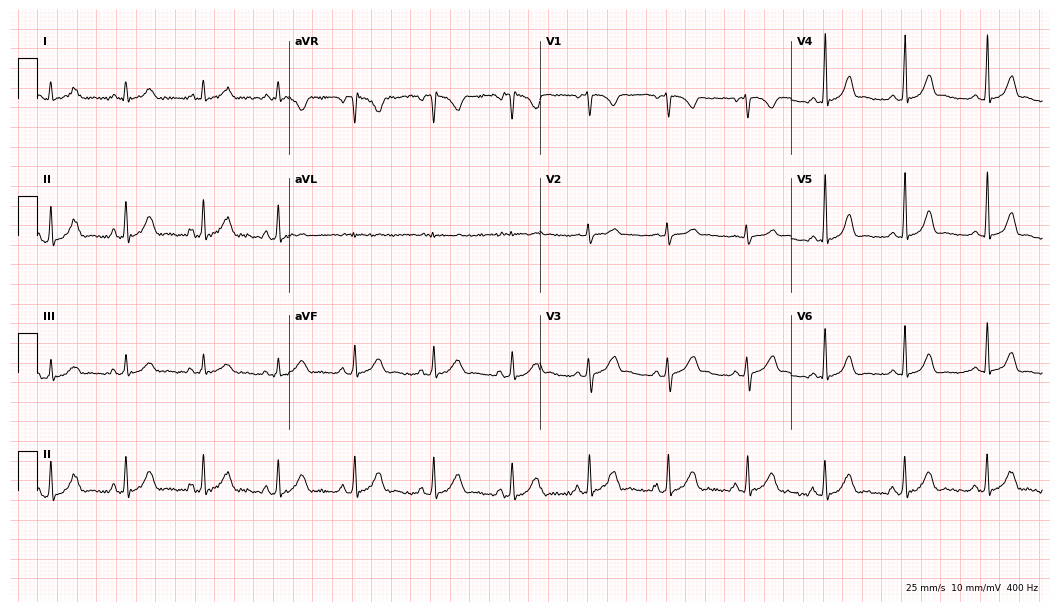
Resting 12-lead electrocardiogram (10.2-second recording at 400 Hz). Patient: a 19-year-old woman. Read as a normal ECG.